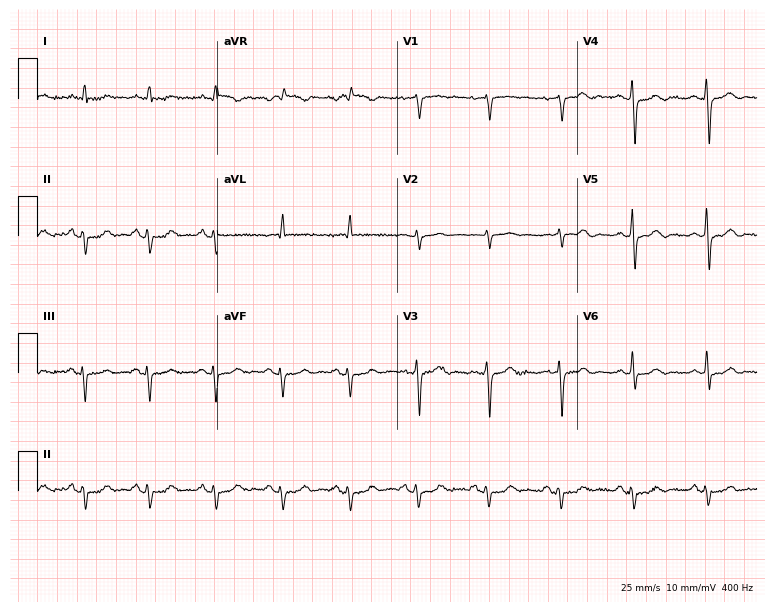
Standard 12-lead ECG recorded from a 60-year-old male patient. None of these six findings is recorded: first-degree AV block, right bundle branch block, left bundle branch block, sinus bradycardia, atrial fibrillation, sinus tachycardia. Other findings, if any, are not listed.